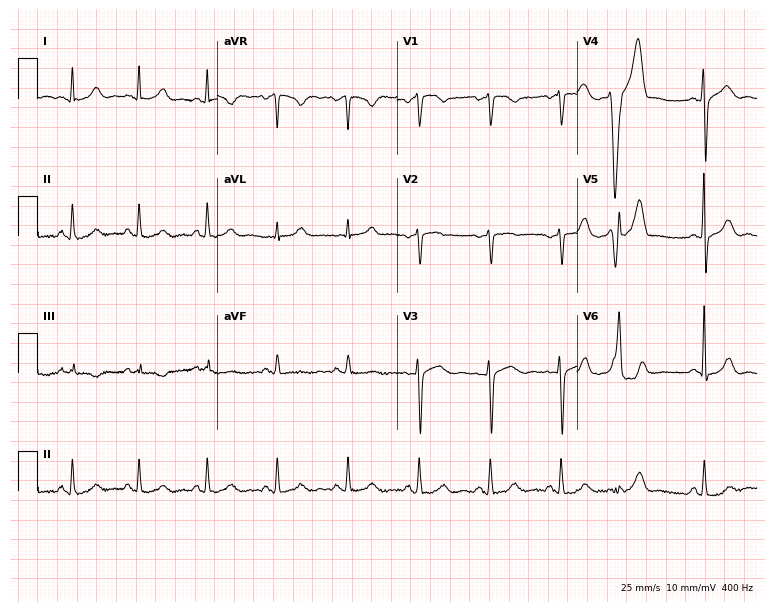
Electrocardiogram, a 48-year-old woman. Of the six screened findings (first-degree AV block, right bundle branch block (RBBB), left bundle branch block (LBBB), sinus bradycardia, atrial fibrillation (AF), sinus tachycardia), none is recorded. Only these six findings were labelled.